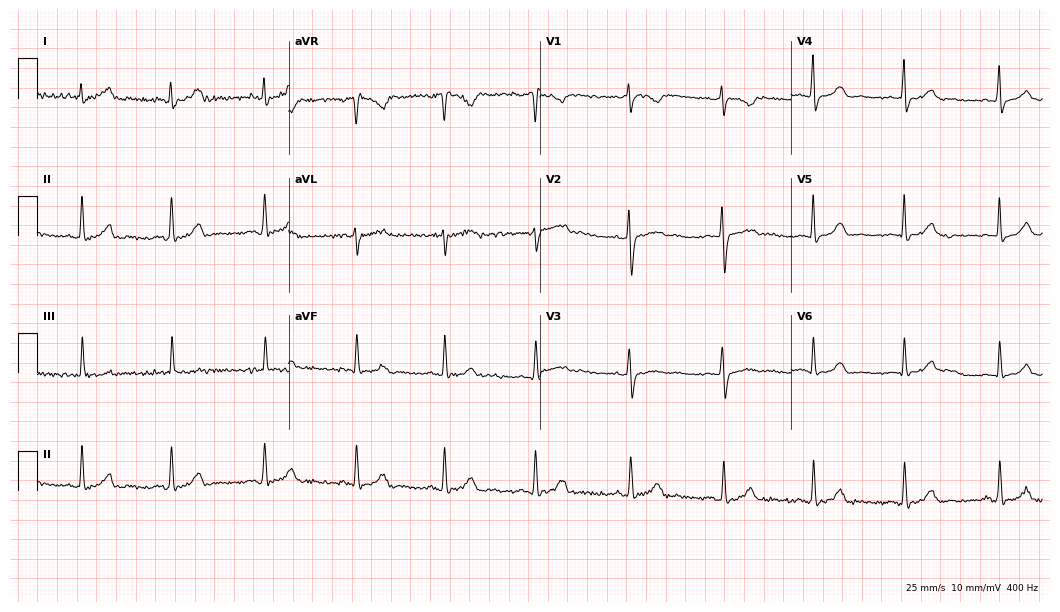
Resting 12-lead electrocardiogram. Patient: a 35-year-old female. Read as a normal ECG.